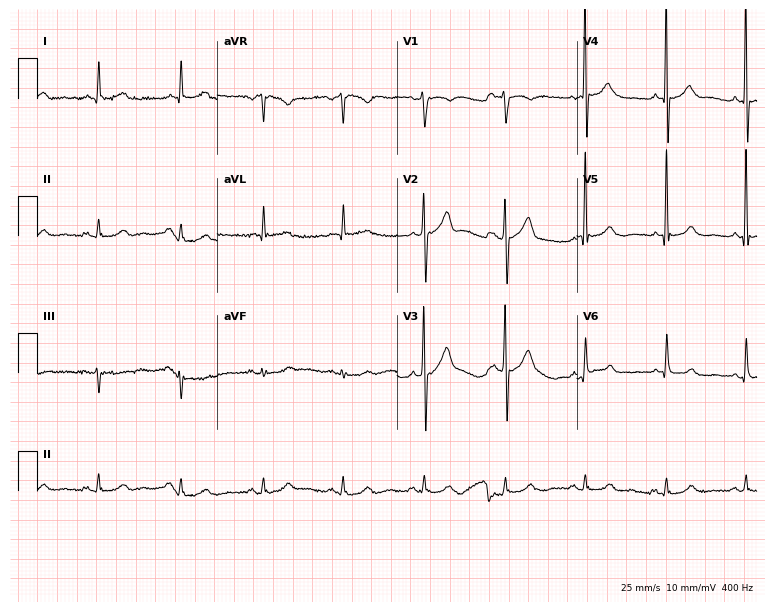
12-lead ECG from a 64-year-old man. Recorded interpretation: within normal limits.